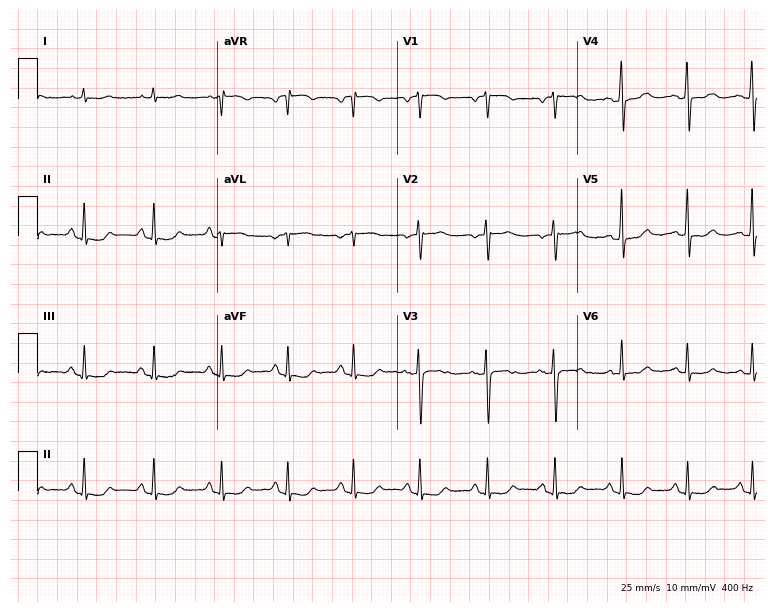
12-lead ECG from a 65-year-old female (7.3-second recording at 400 Hz). Recorded interpretation: within normal limits.